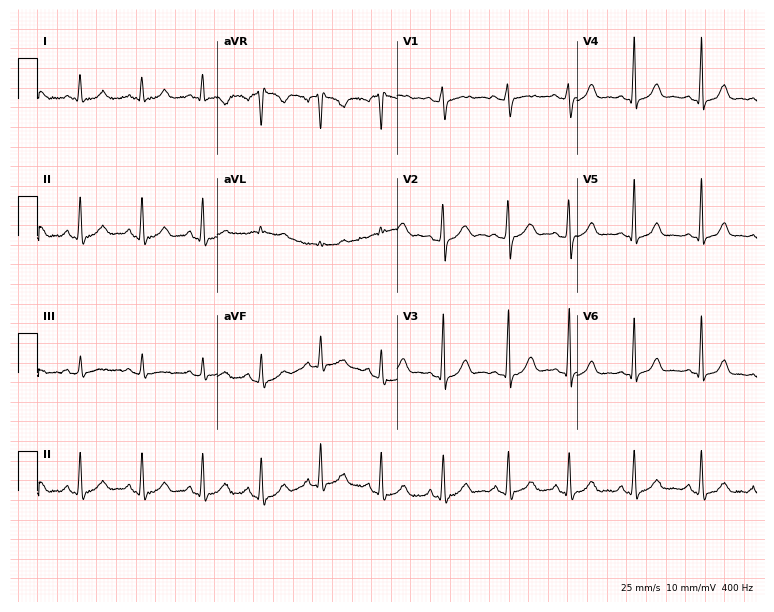
12-lead ECG from a woman, 25 years old (7.3-second recording at 400 Hz). Recorded interpretation: within normal limits.